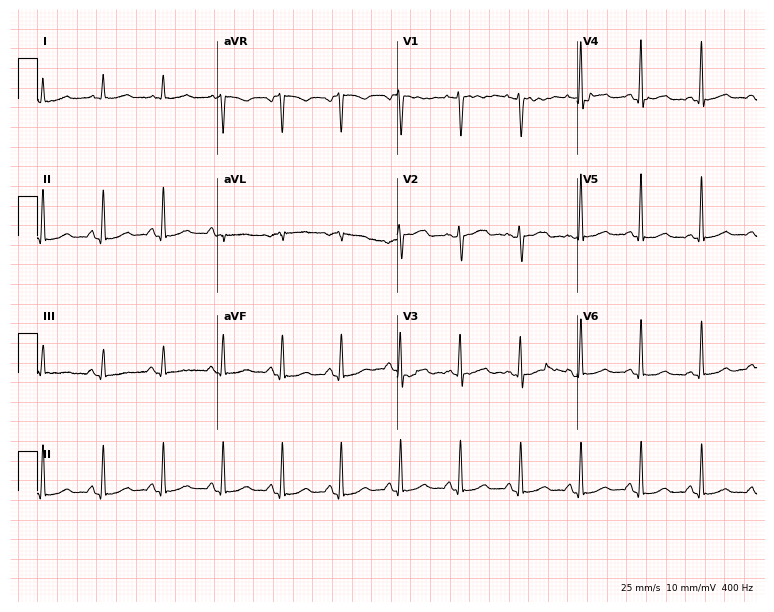
Electrocardiogram (7.3-second recording at 400 Hz), a female patient, 59 years old. Of the six screened findings (first-degree AV block, right bundle branch block (RBBB), left bundle branch block (LBBB), sinus bradycardia, atrial fibrillation (AF), sinus tachycardia), none is recorded.